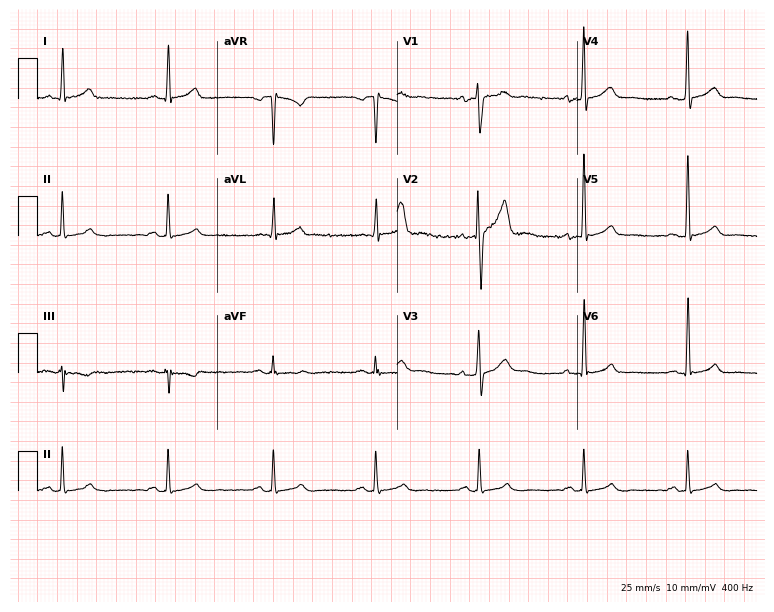
12-lead ECG (7.3-second recording at 400 Hz) from a male patient, 50 years old. Labelled as a normal ECG.